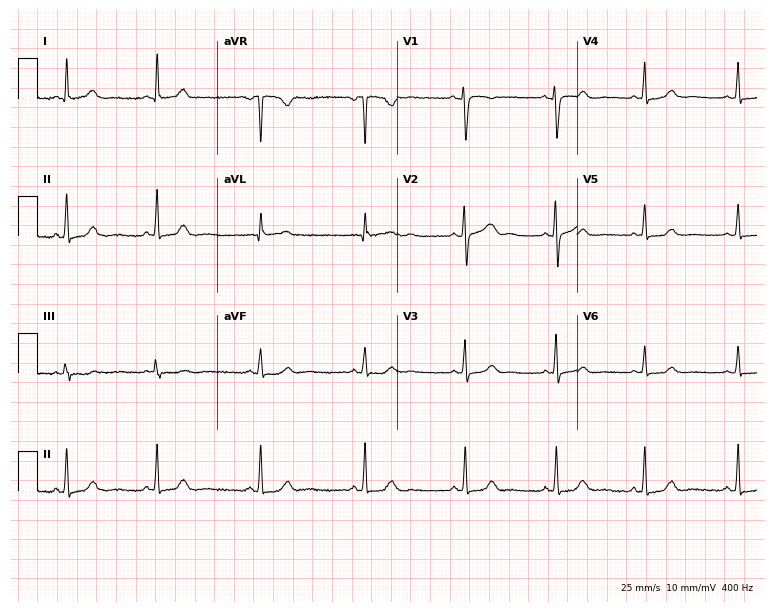
ECG (7.3-second recording at 400 Hz) — a 30-year-old female patient. Labelled as a normal ECG.